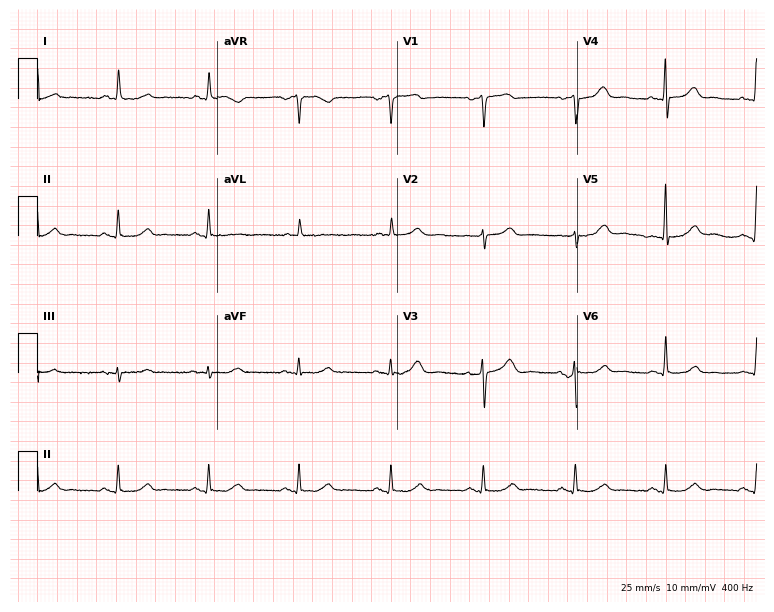
Electrocardiogram, a woman, 72 years old. Overall reading on record: normal ECG.